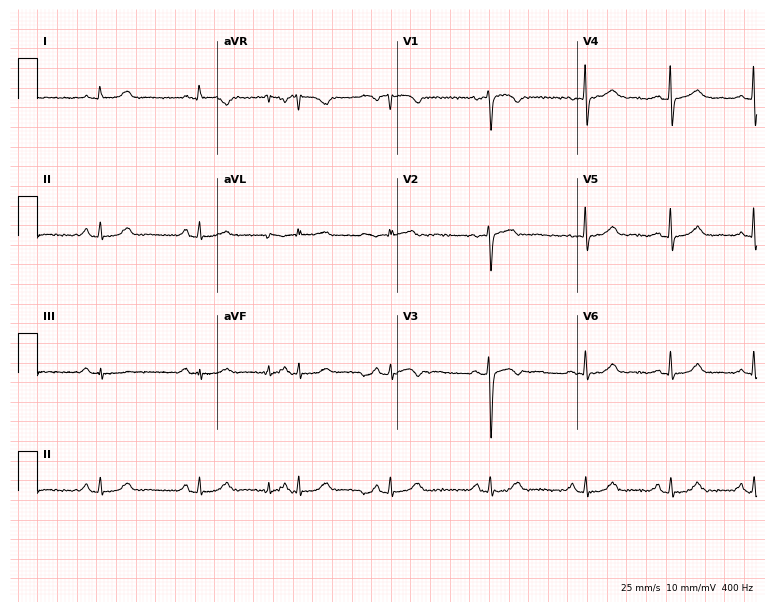
Electrocardiogram (7.3-second recording at 400 Hz), a 54-year-old female. Of the six screened findings (first-degree AV block, right bundle branch block (RBBB), left bundle branch block (LBBB), sinus bradycardia, atrial fibrillation (AF), sinus tachycardia), none is recorded.